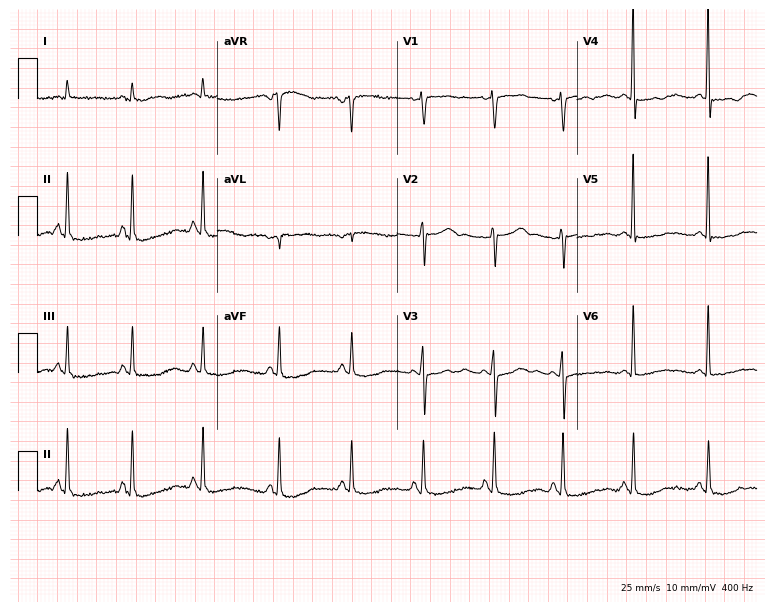
12-lead ECG from a female, 55 years old (7.3-second recording at 400 Hz). No first-degree AV block, right bundle branch block, left bundle branch block, sinus bradycardia, atrial fibrillation or sinus tachycardia recorded for this tracing. Only these six findings were labelled.